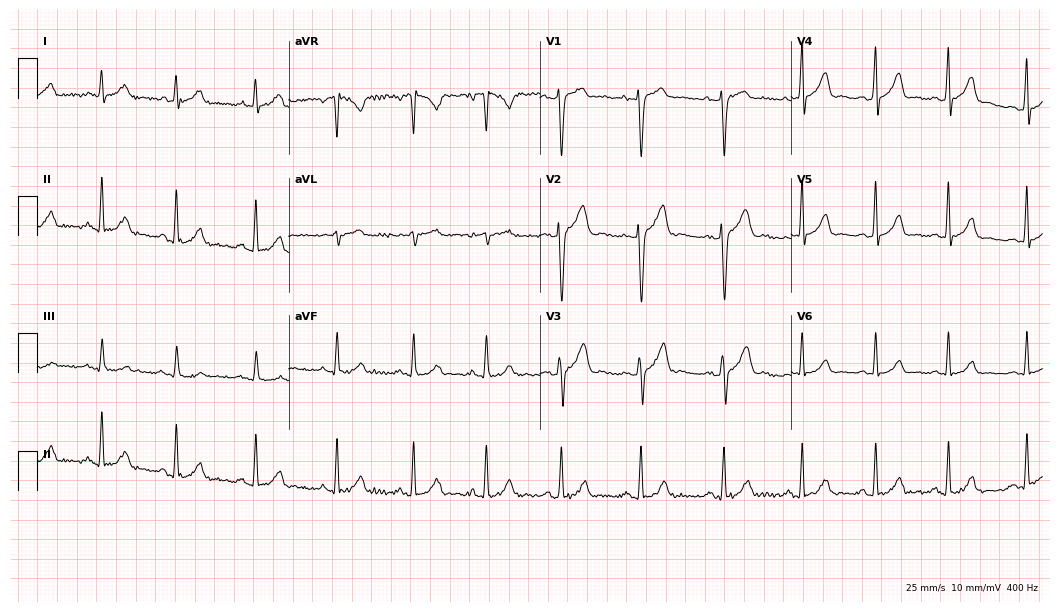
Resting 12-lead electrocardiogram (10.2-second recording at 400 Hz). Patient: a man, 17 years old. Read as a normal ECG.